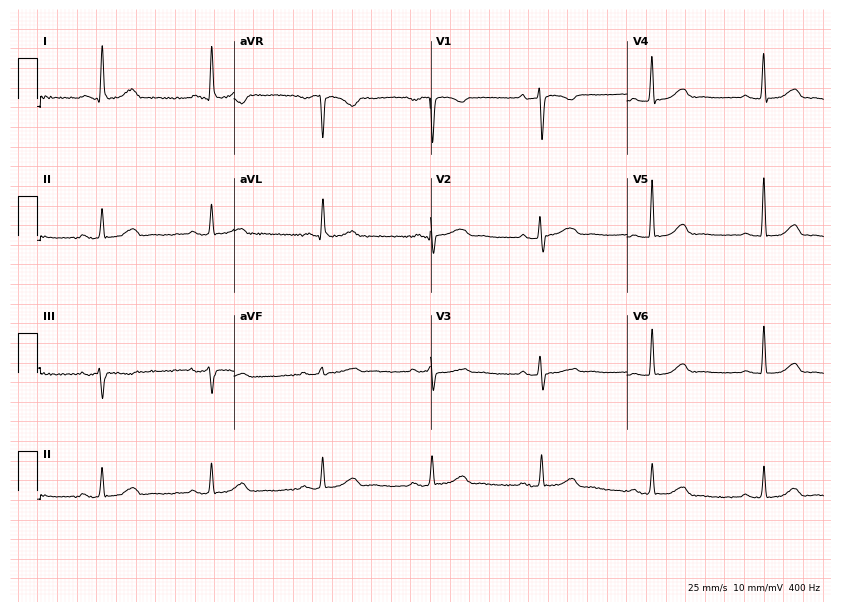
12-lead ECG from a female patient, 69 years old. Labelled as a normal ECG.